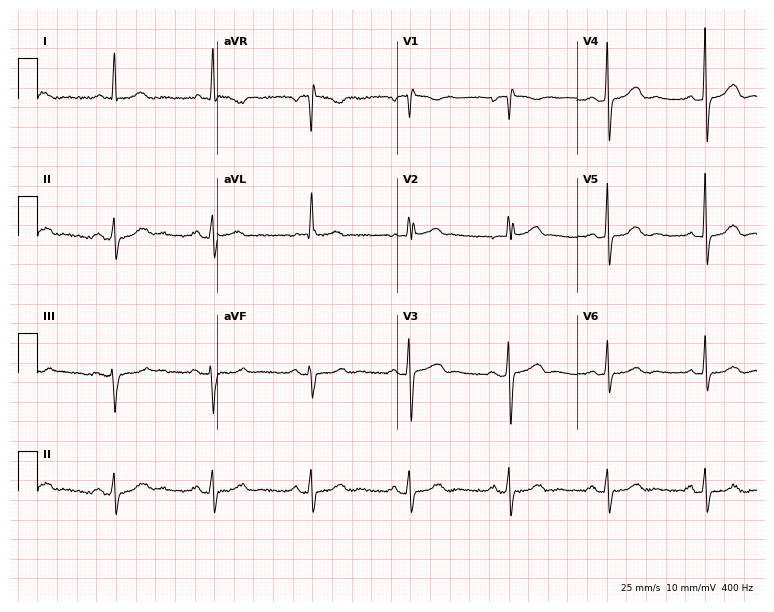
Resting 12-lead electrocardiogram (7.3-second recording at 400 Hz). Patient: a female, 69 years old. None of these six findings is recorded: first-degree AV block, right bundle branch block, left bundle branch block, sinus bradycardia, atrial fibrillation, sinus tachycardia. Only these six findings were labelled.